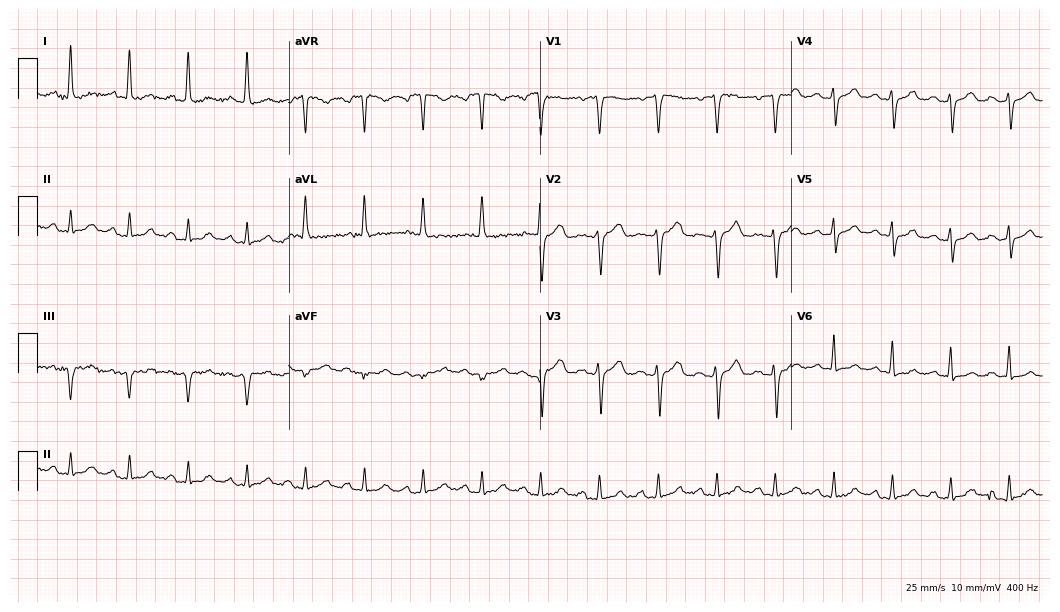
Electrocardiogram, a 78-year-old female patient. Of the six screened findings (first-degree AV block, right bundle branch block, left bundle branch block, sinus bradycardia, atrial fibrillation, sinus tachycardia), none is recorded. Findings outside these six are not listed.